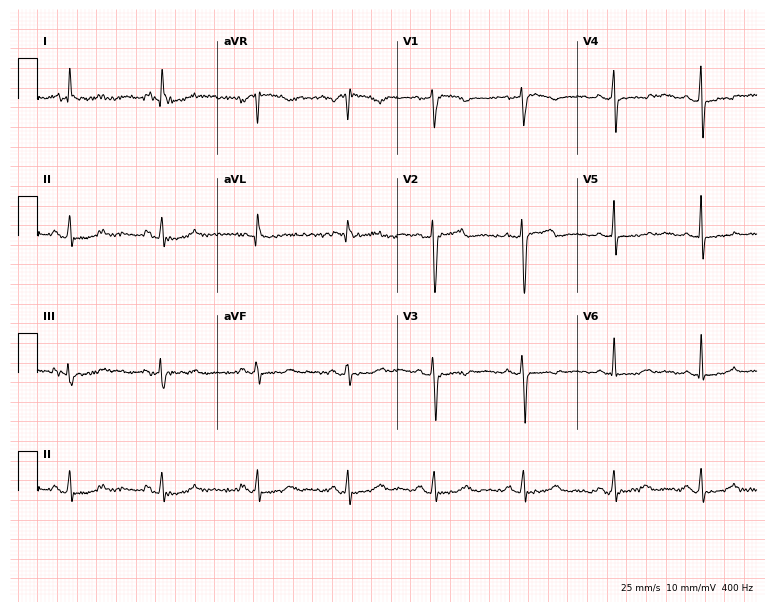
Electrocardiogram (7.3-second recording at 400 Hz), a female, 55 years old. Of the six screened findings (first-degree AV block, right bundle branch block (RBBB), left bundle branch block (LBBB), sinus bradycardia, atrial fibrillation (AF), sinus tachycardia), none is recorded. Findings outside these six are not listed.